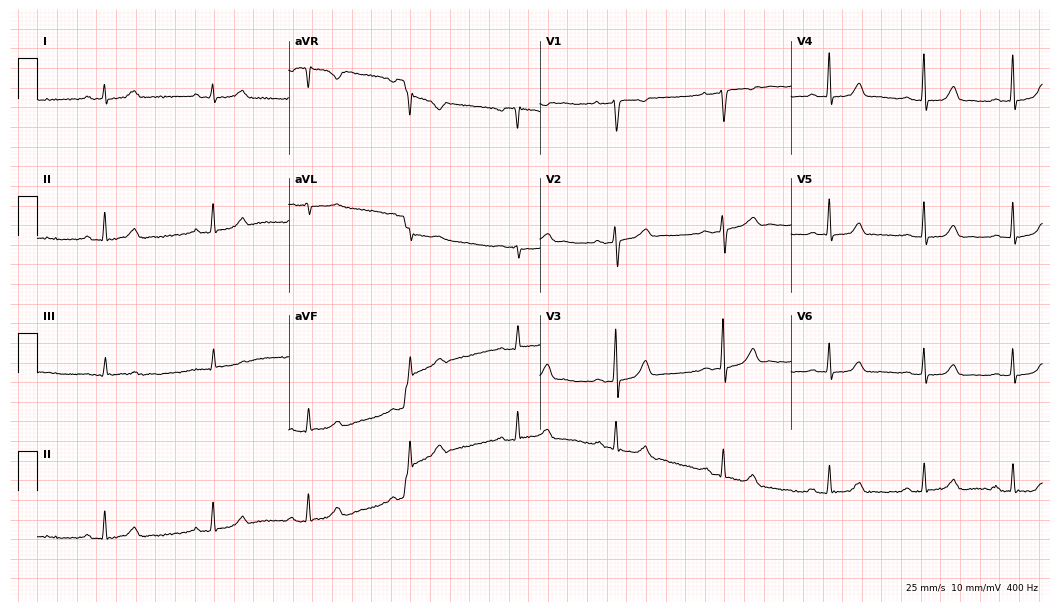
Electrocardiogram, a female, 38 years old. Of the six screened findings (first-degree AV block, right bundle branch block, left bundle branch block, sinus bradycardia, atrial fibrillation, sinus tachycardia), none is recorded.